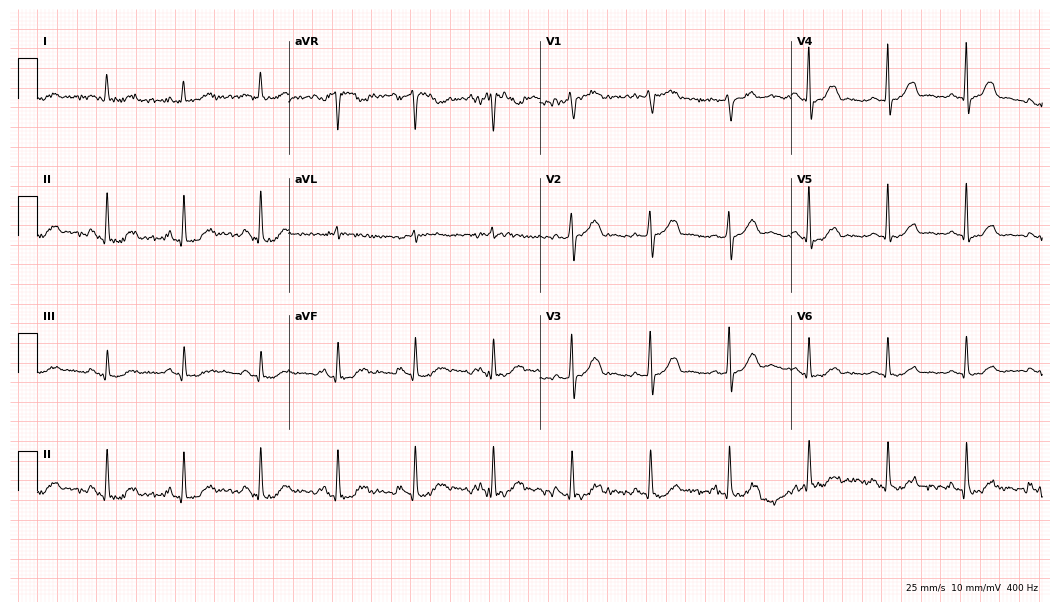
12-lead ECG from a 73-year-old female. Labelled as a normal ECG.